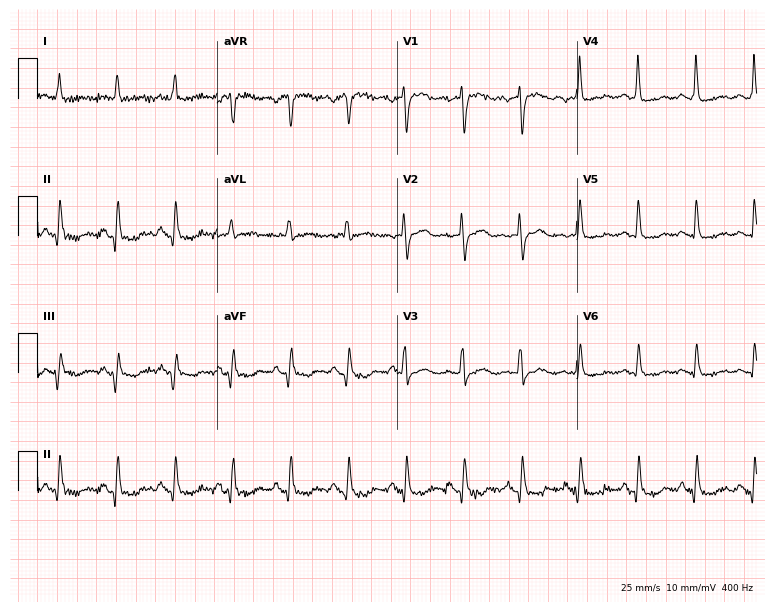
12-lead ECG from a female patient, 71 years old (7.3-second recording at 400 Hz). Shows sinus tachycardia (a sinus rate of 100 beats per minute or more).